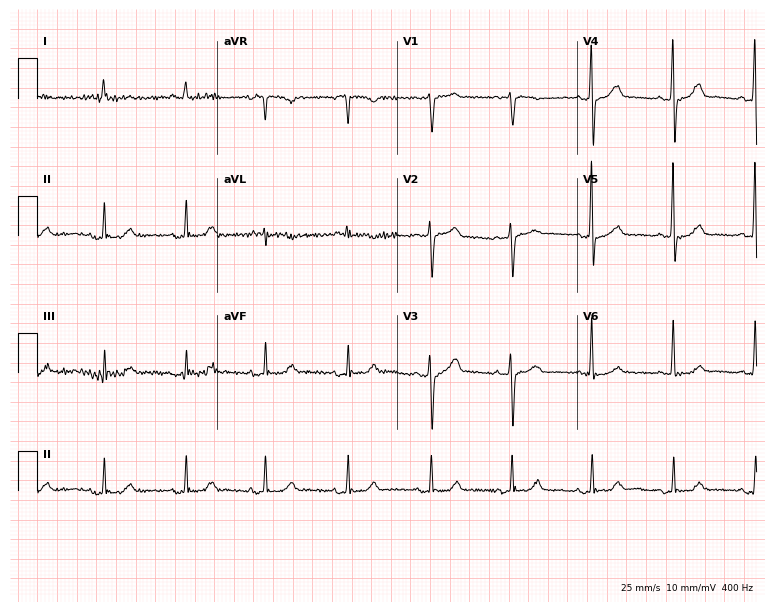
Electrocardiogram (7.3-second recording at 400 Hz), an 82-year-old female patient. Overall reading on record: normal ECG.